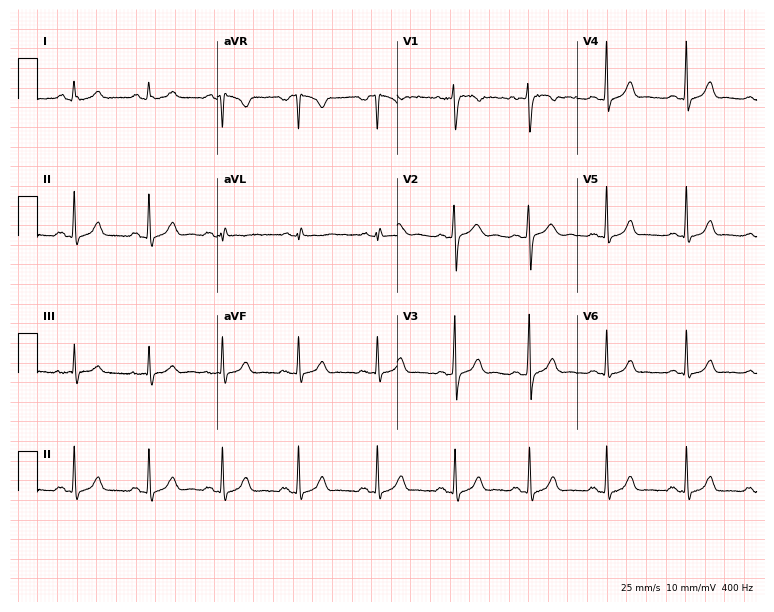
Electrocardiogram (7.3-second recording at 400 Hz), a female patient, 20 years old. Overall reading on record: normal ECG.